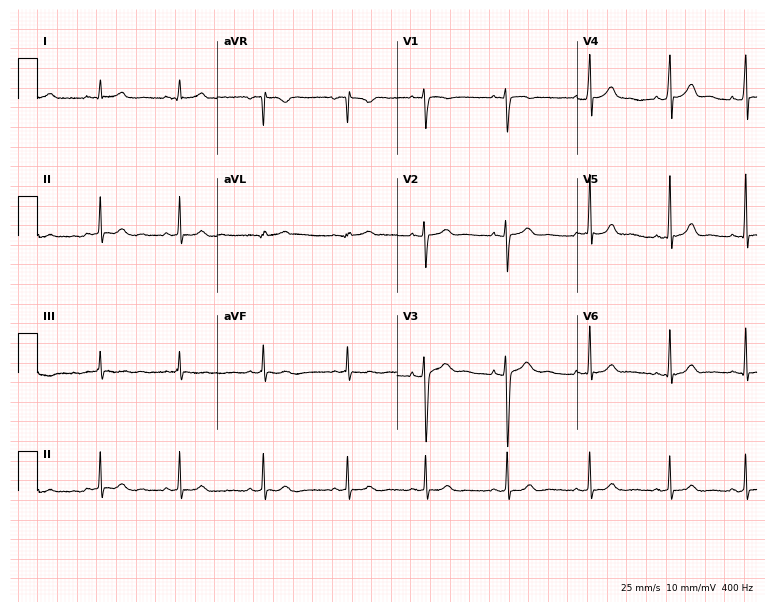
Electrocardiogram (7.3-second recording at 400 Hz), a 19-year-old female patient. Overall reading on record: normal ECG.